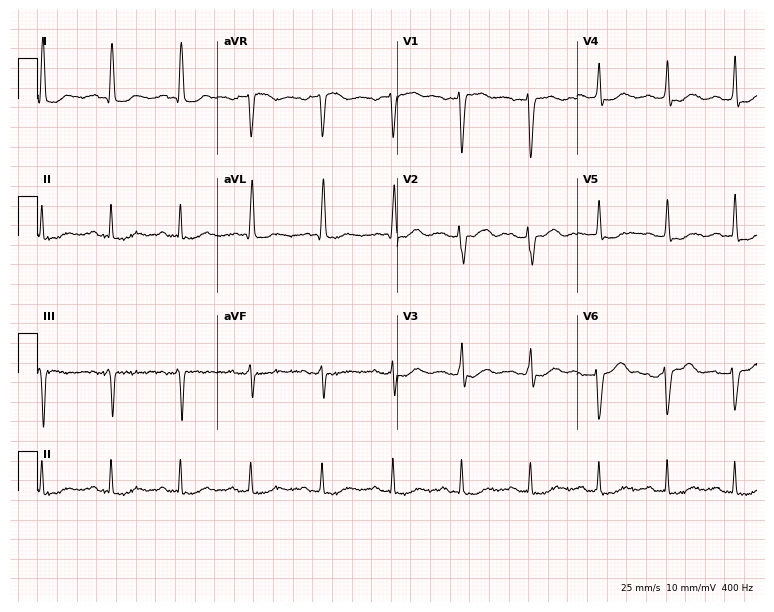
Electrocardiogram (7.3-second recording at 400 Hz), a 51-year-old female. Of the six screened findings (first-degree AV block, right bundle branch block, left bundle branch block, sinus bradycardia, atrial fibrillation, sinus tachycardia), none is recorded.